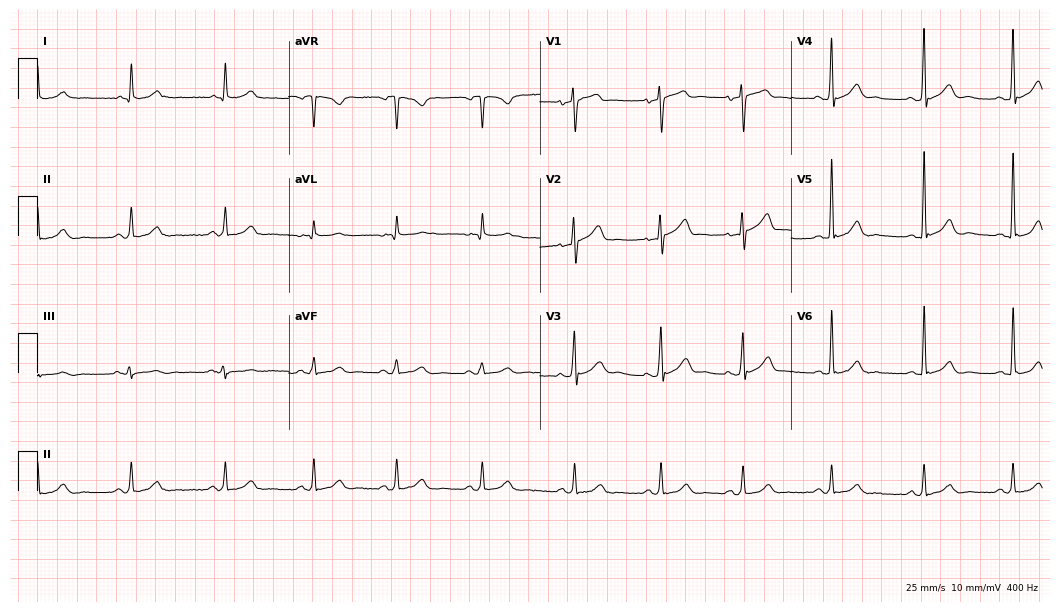
Electrocardiogram (10.2-second recording at 400 Hz), a male, 73 years old. Overall reading on record: normal ECG.